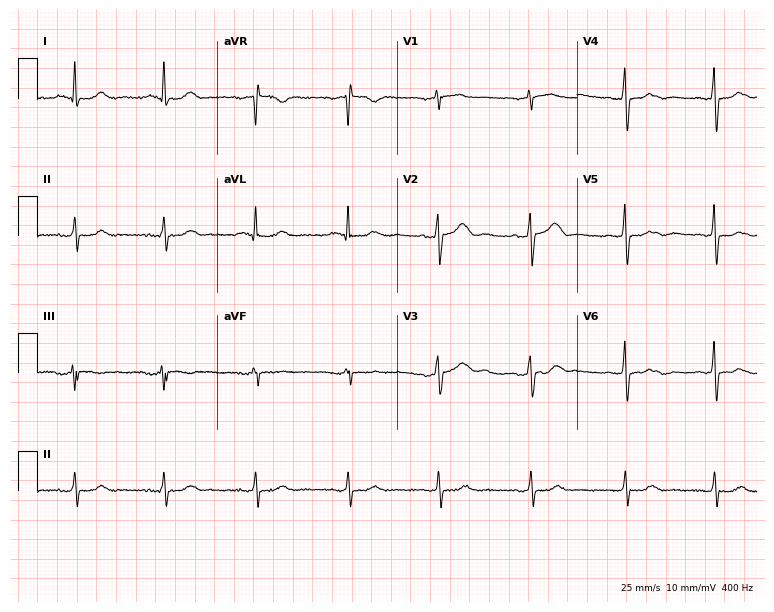
12-lead ECG (7.3-second recording at 400 Hz) from a 73-year-old female. Screened for six findings — first-degree AV block, right bundle branch block, left bundle branch block, sinus bradycardia, atrial fibrillation, sinus tachycardia — none is recorded.